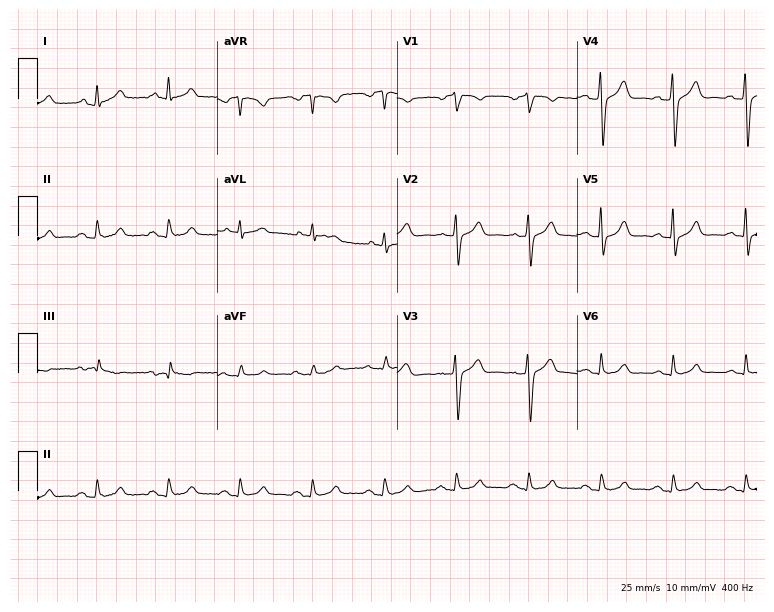
Resting 12-lead electrocardiogram (7.3-second recording at 400 Hz). Patient: a 49-year-old man. None of these six findings is recorded: first-degree AV block, right bundle branch block, left bundle branch block, sinus bradycardia, atrial fibrillation, sinus tachycardia.